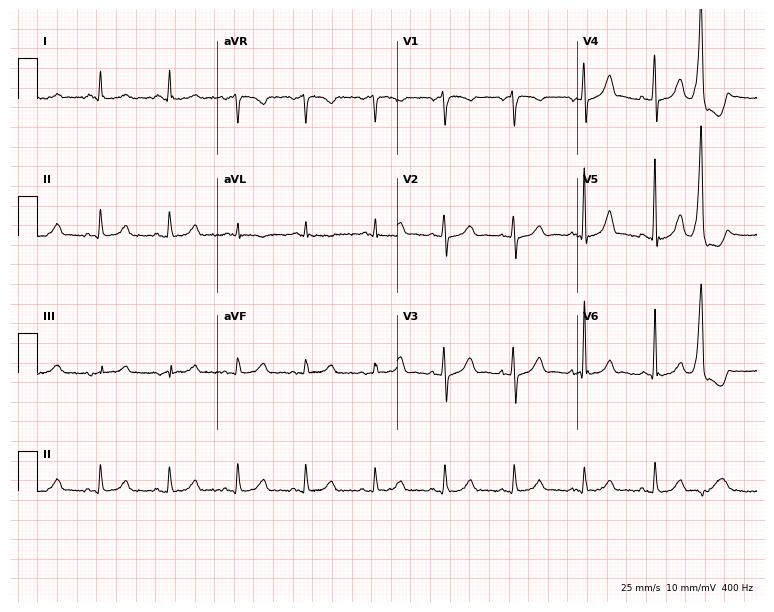
Standard 12-lead ECG recorded from a 77-year-old man (7.3-second recording at 400 Hz). Read as a normal ECG.